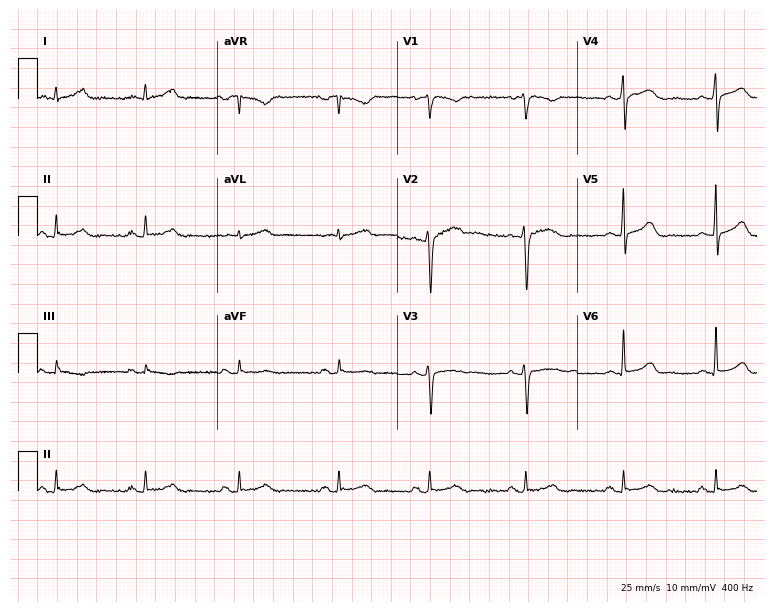
Electrocardiogram (7.3-second recording at 400 Hz), a 39-year-old female patient. Overall reading on record: normal ECG.